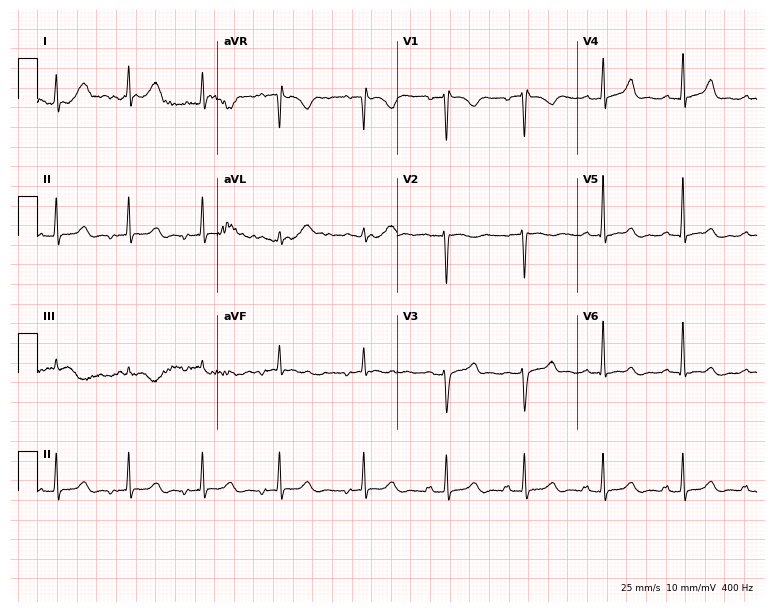
ECG (7.3-second recording at 400 Hz) — a 55-year-old female. Screened for six findings — first-degree AV block, right bundle branch block, left bundle branch block, sinus bradycardia, atrial fibrillation, sinus tachycardia — none is recorded.